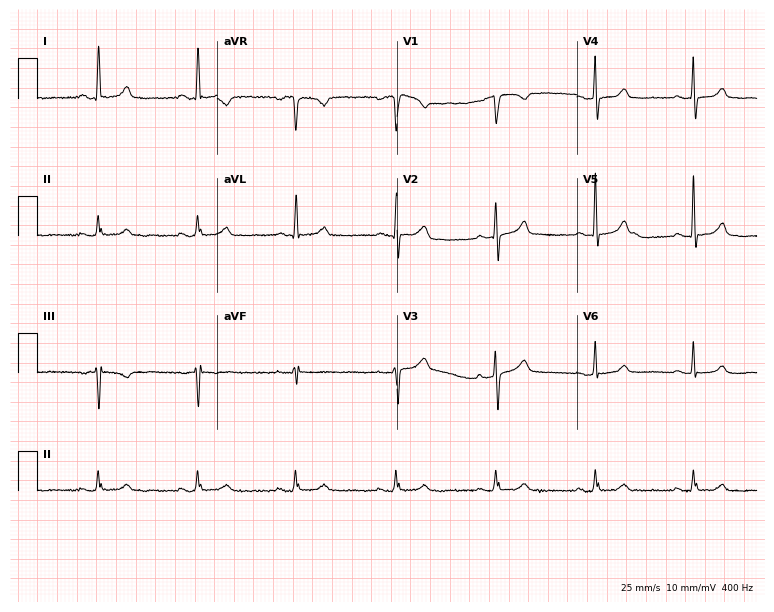
12-lead ECG (7.3-second recording at 400 Hz) from a woman, 70 years old. Labelled as a normal ECG.